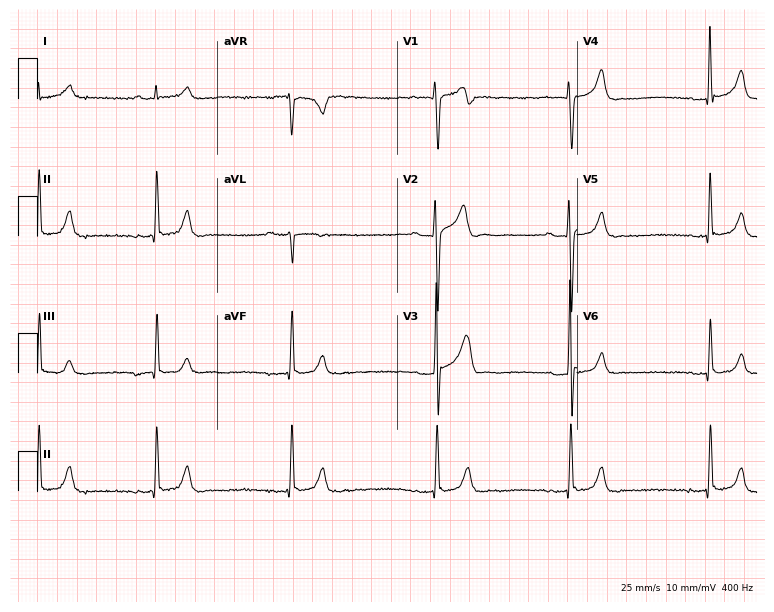
12-lead ECG from a male patient, 29 years old. Shows sinus bradycardia (a sinus rate of 50 beats per minute or less).